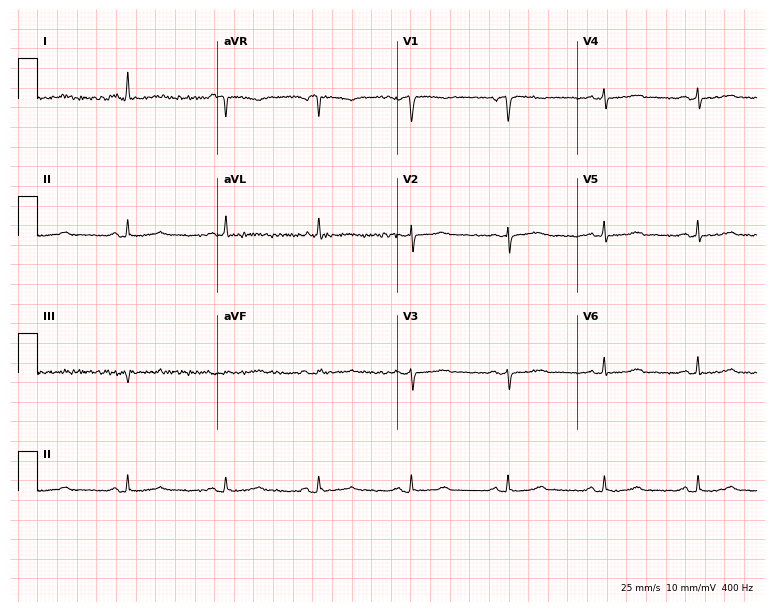
12-lead ECG from a 67-year-old woman. Screened for six findings — first-degree AV block, right bundle branch block (RBBB), left bundle branch block (LBBB), sinus bradycardia, atrial fibrillation (AF), sinus tachycardia — none is recorded. Findings outside these six are not listed.